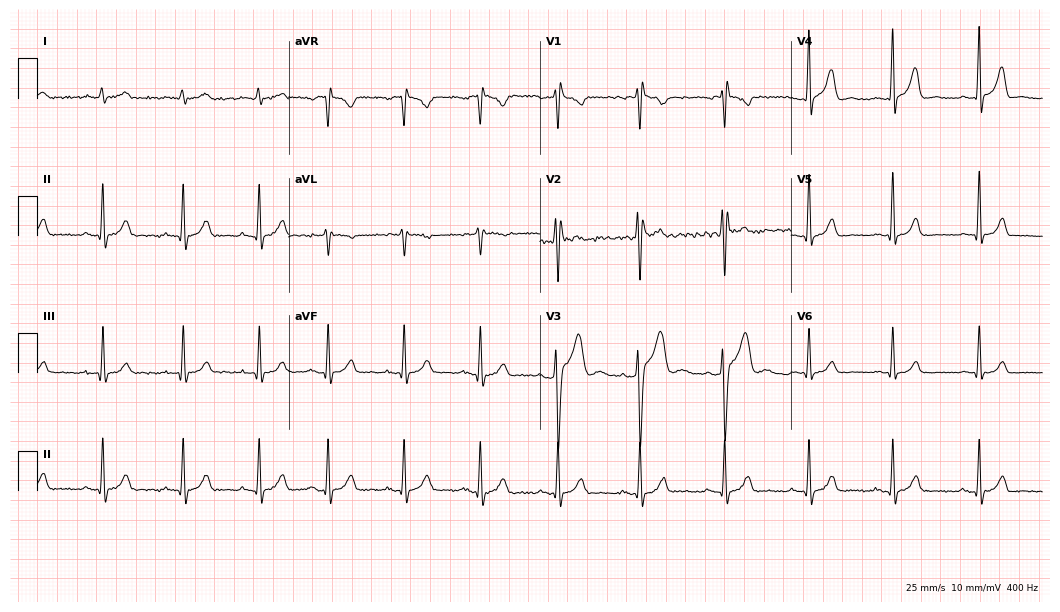
Electrocardiogram, a 21-year-old male. Of the six screened findings (first-degree AV block, right bundle branch block (RBBB), left bundle branch block (LBBB), sinus bradycardia, atrial fibrillation (AF), sinus tachycardia), none is recorded. Findings outside these six are not listed.